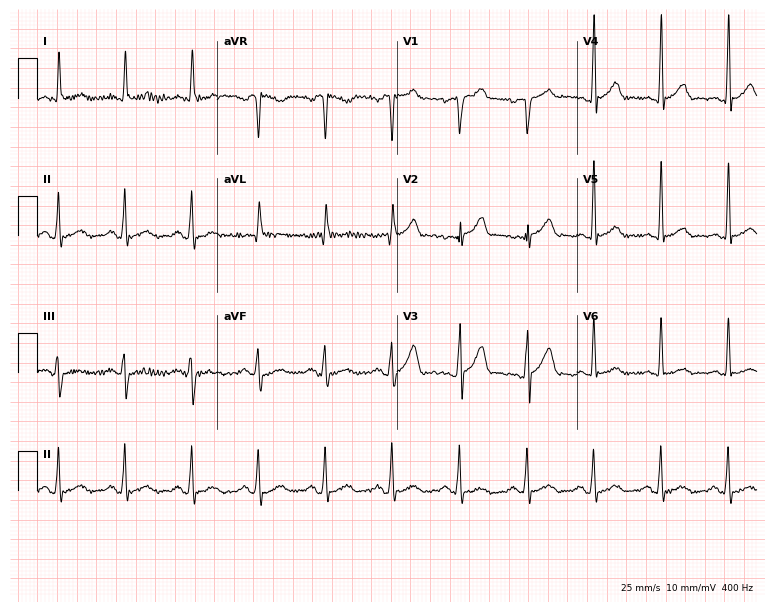
ECG (7.3-second recording at 400 Hz) — a male patient, 65 years old. Screened for six findings — first-degree AV block, right bundle branch block (RBBB), left bundle branch block (LBBB), sinus bradycardia, atrial fibrillation (AF), sinus tachycardia — none is recorded. Only these six findings were labelled.